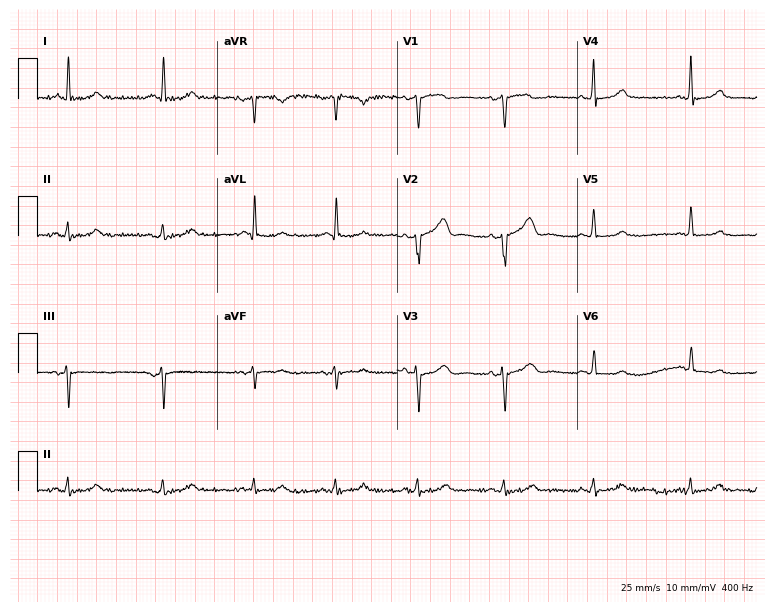
Standard 12-lead ECG recorded from a 74-year-old woman. Read as a normal ECG.